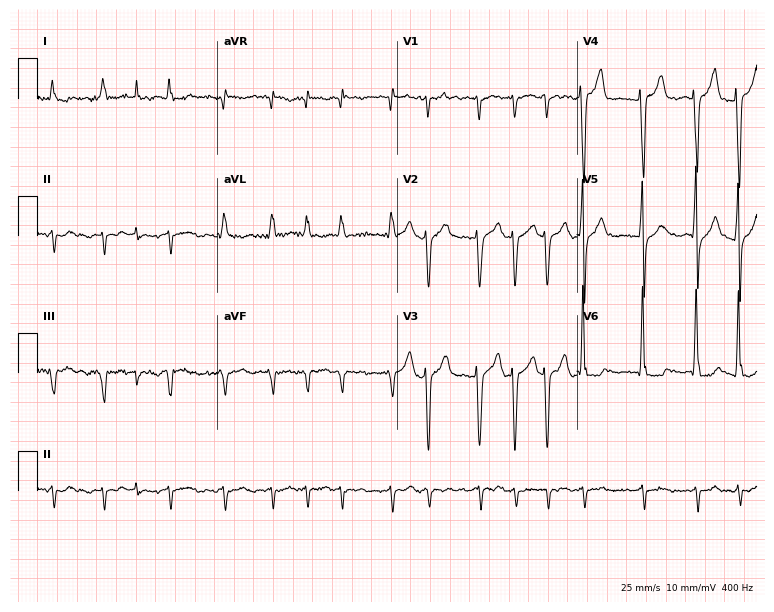
Resting 12-lead electrocardiogram (7.3-second recording at 400 Hz). Patient: a male, 60 years old. The tracing shows atrial fibrillation.